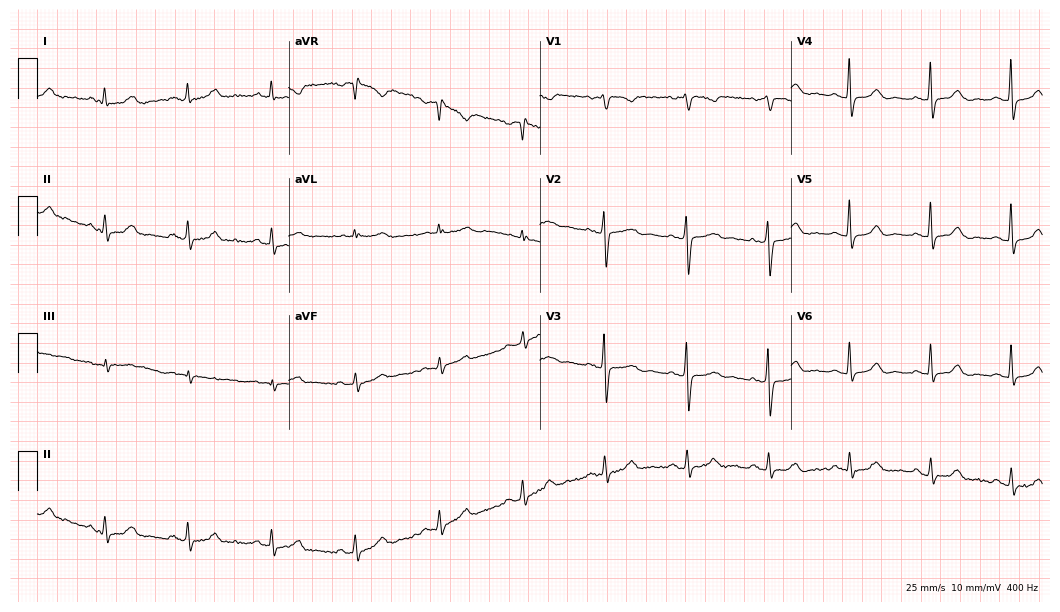
Electrocardiogram (10.2-second recording at 400 Hz), a woman, 63 years old. Of the six screened findings (first-degree AV block, right bundle branch block, left bundle branch block, sinus bradycardia, atrial fibrillation, sinus tachycardia), none is recorded. Only these six findings were labelled.